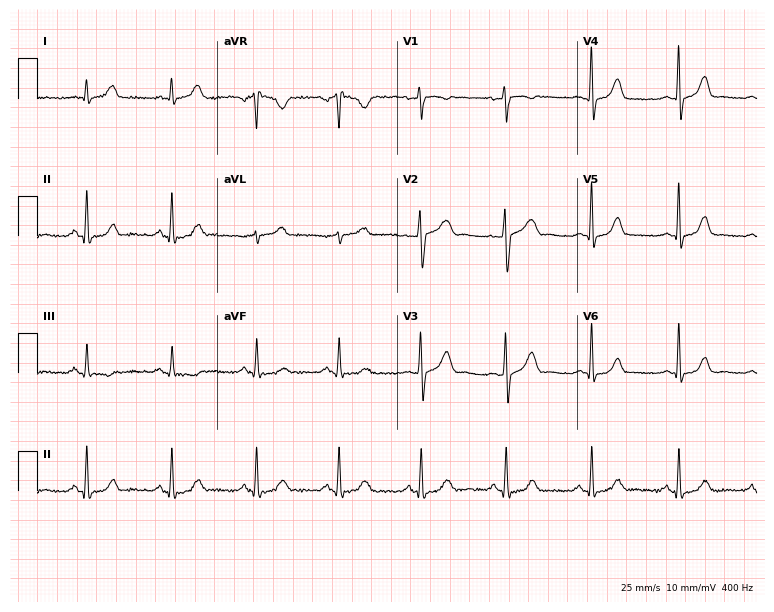
ECG (7.3-second recording at 400 Hz) — a female, 53 years old. Labelled as a normal ECG.